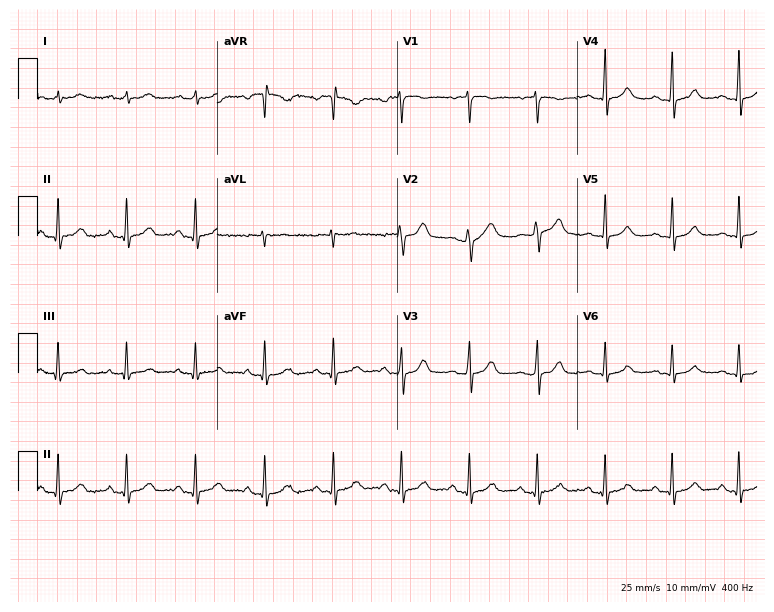
Electrocardiogram (7.3-second recording at 400 Hz), a 41-year-old woman. Overall reading on record: normal ECG.